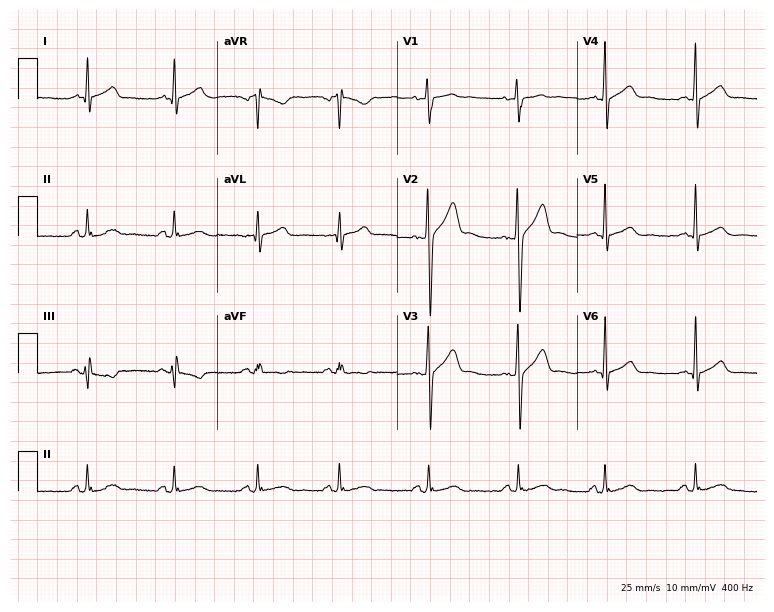
Resting 12-lead electrocardiogram. Patient: a male, 30 years old. Read as a normal ECG.